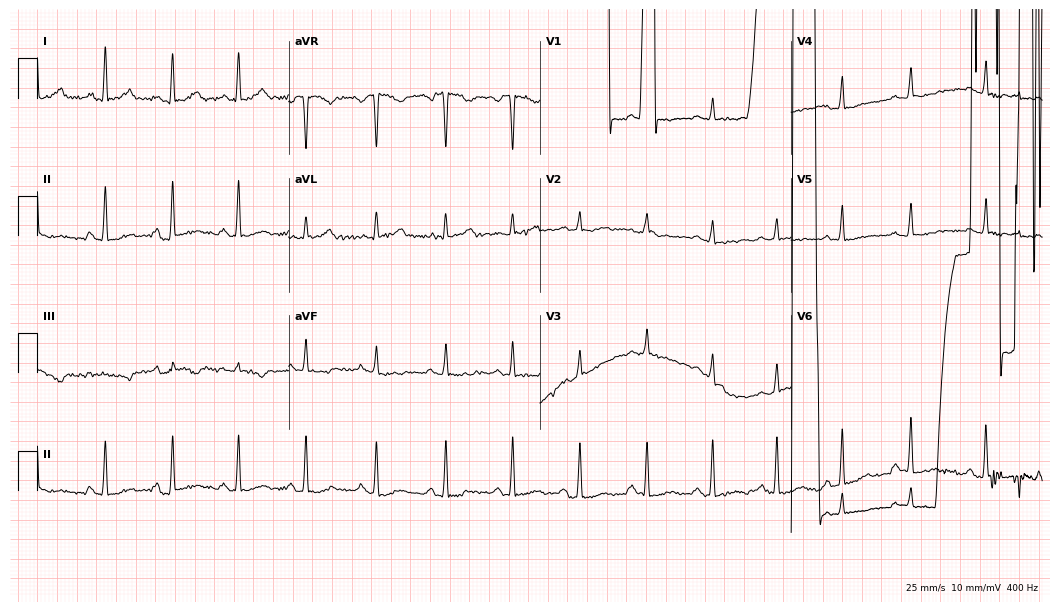
ECG — a 30-year-old female. Screened for six findings — first-degree AV block, right bundle branch block (RBBB), left bundle branch block (LBBB), sinus bradycardia, atrial fibrillation (AF), sinus tachycardia — none is recorded.